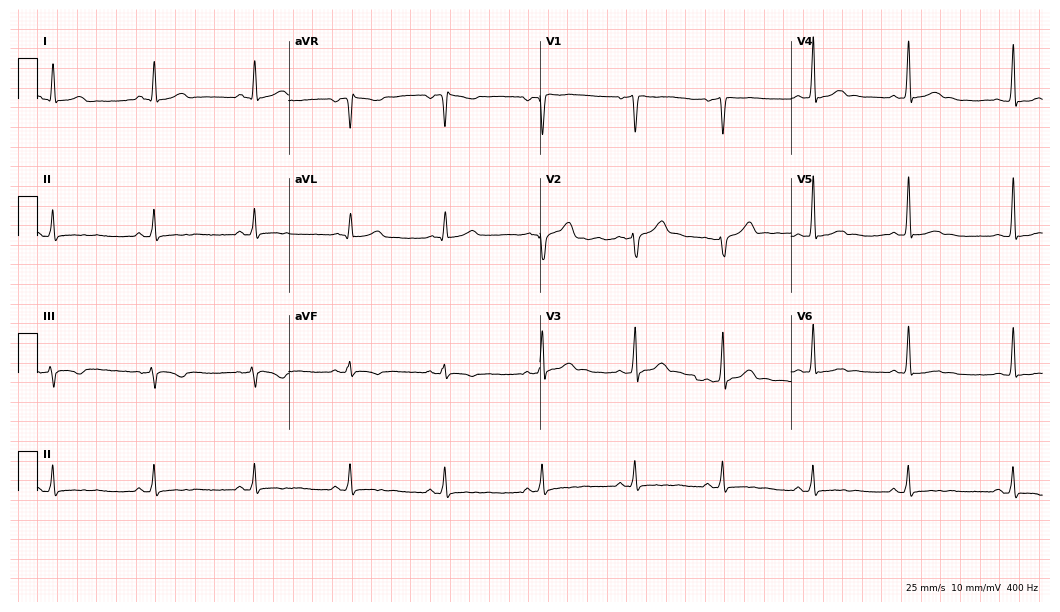
Resting 12-lead electrocardiogram. Patient: a 32-year-old man. None of these six findings is recorded: first-degree AV block, right bundle branch block, left bundle branch block, sinus bradycardia, atrial fibrillation, sinus tachycardia. Findings outside these six are not listed.